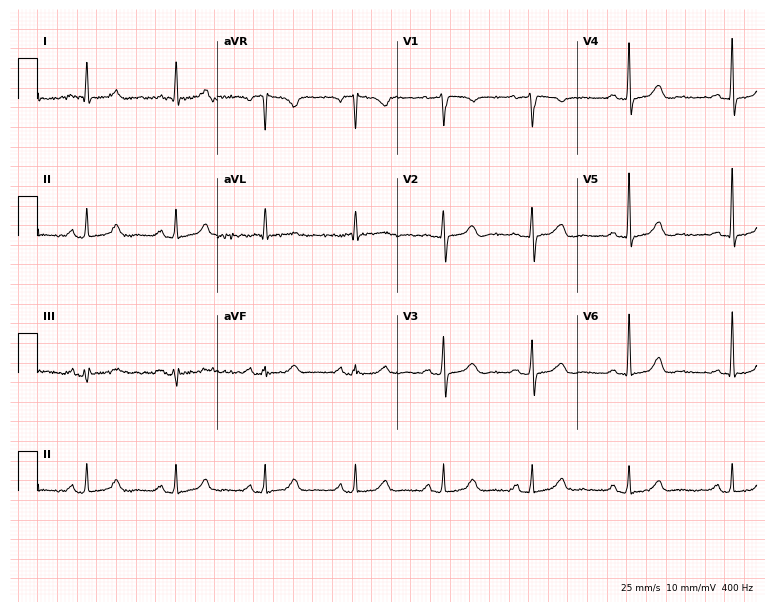
12-lead ECG from a female patient, 60 years old (7.3-second recording at 400 Hz). Recorded interpretation: within normal limits.